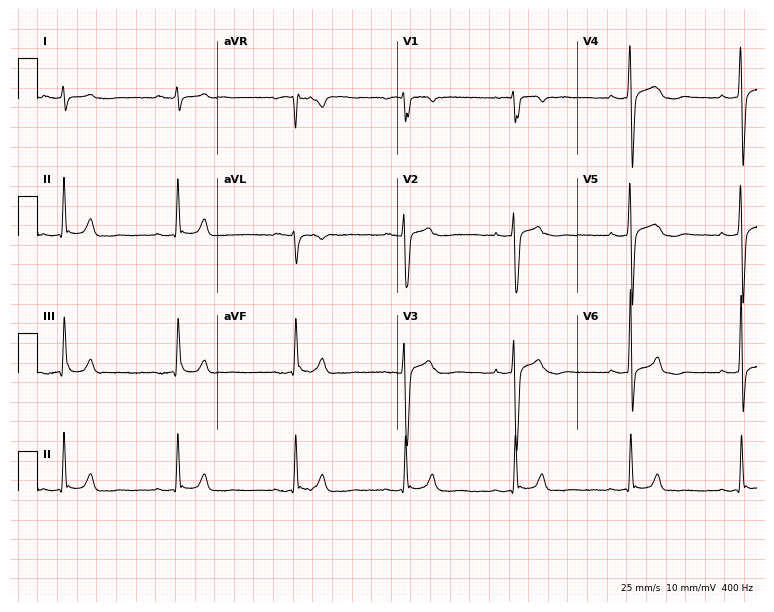
12-lead ECG from a 29-year-old male patient (7.3-second recording at 400 Hz). No first-degree AV block, right bundle branch block, left bundle branch block, sinus bradycardia, atrial fibrillation or sinus tachycardia recorded for this tracing. Only these six findings were labelled.